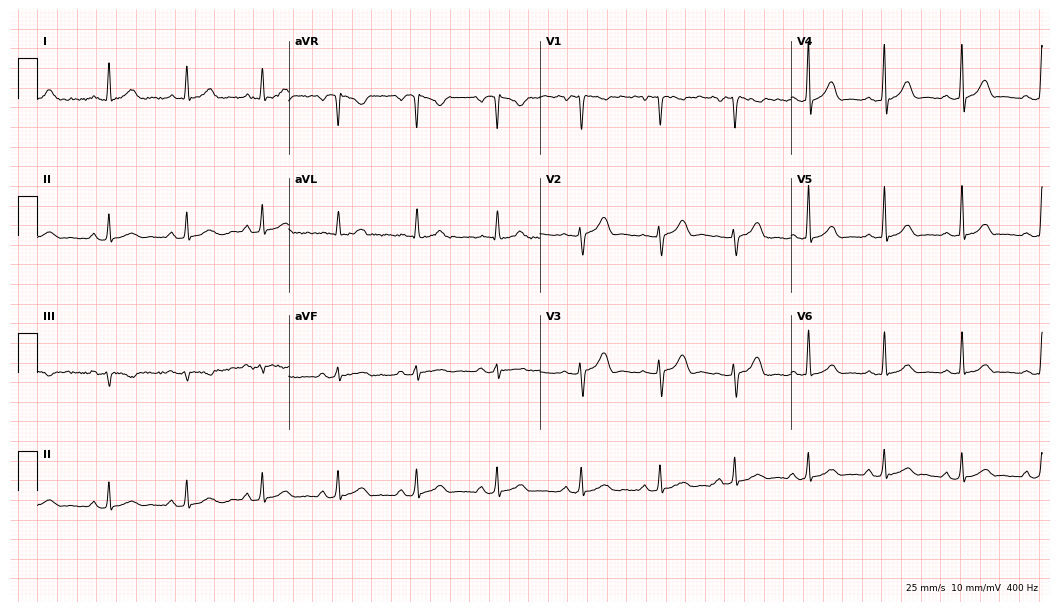
Resting 12-lead electrocardiogram. Patient: a female, 45 years old. None of these six findings is recorded: first-degree AV block, right bundle branch block, left bundle branch block, sinus bradycardia, atrial fibrillation, sinus tachycardia.